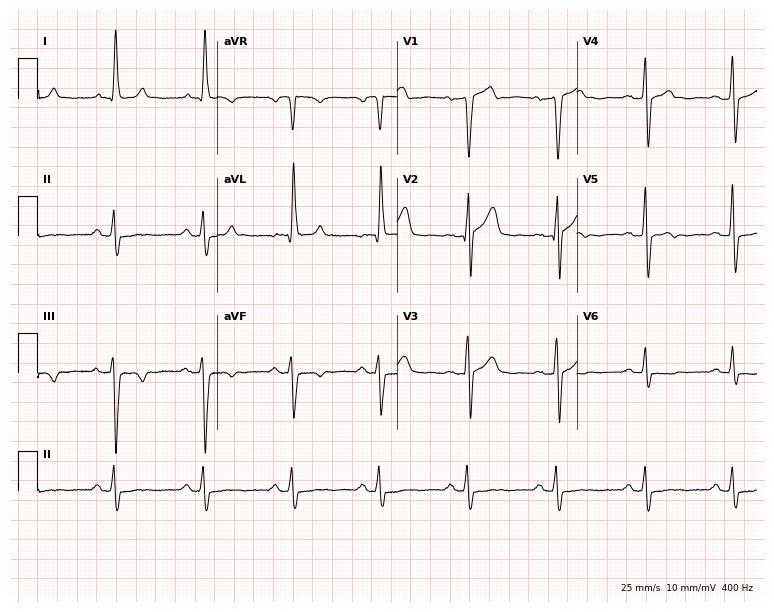
Standard 12-lead ECG recorded from a male patient, 71 years old. None of these six findings is recorded: first-degree AV block, right bundle branch block (RBBB), left bundle branch block (LBBB), sinus bradycardia, atrial fibrillation (AF), sinus tachycardia. Other findings, if any, are not listed.